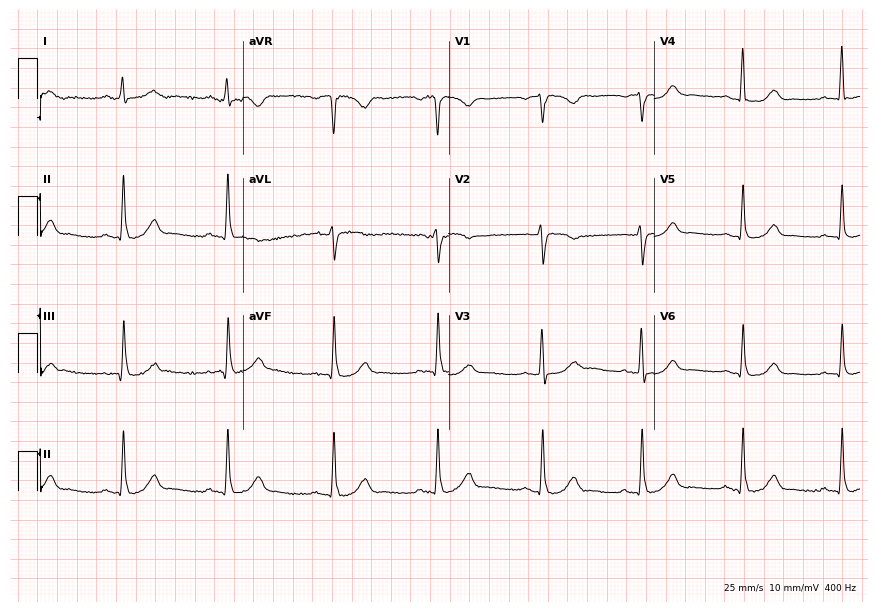
12-lead ECG from a 61-year-old female patient (8.4-second recording at 400 Hz). Recorded interpretation: within normal limits.